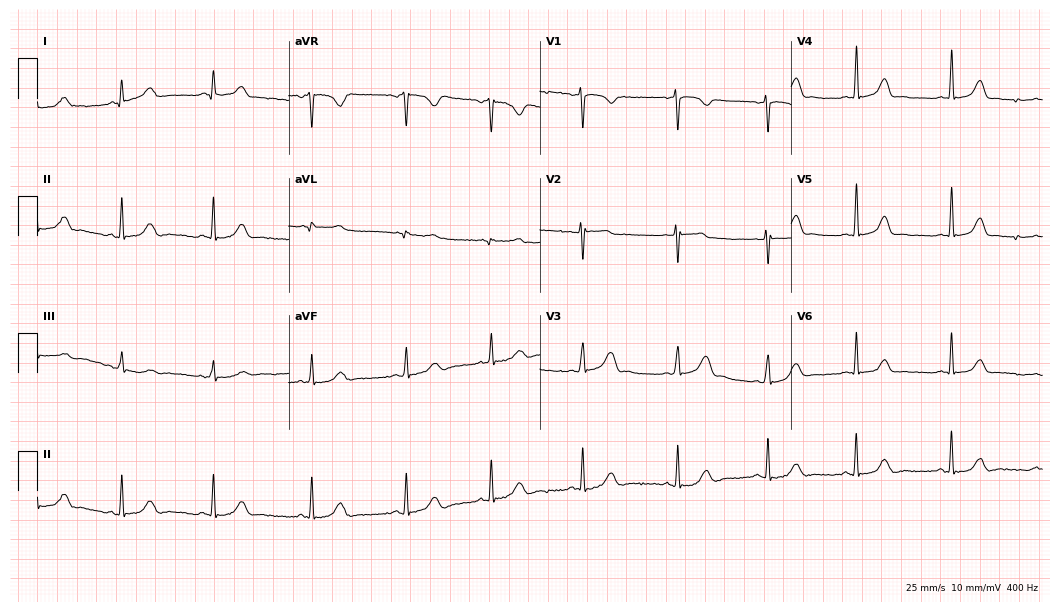
12-lead ECG from a 20-year-old female patient. Labelled as a normal ECG.